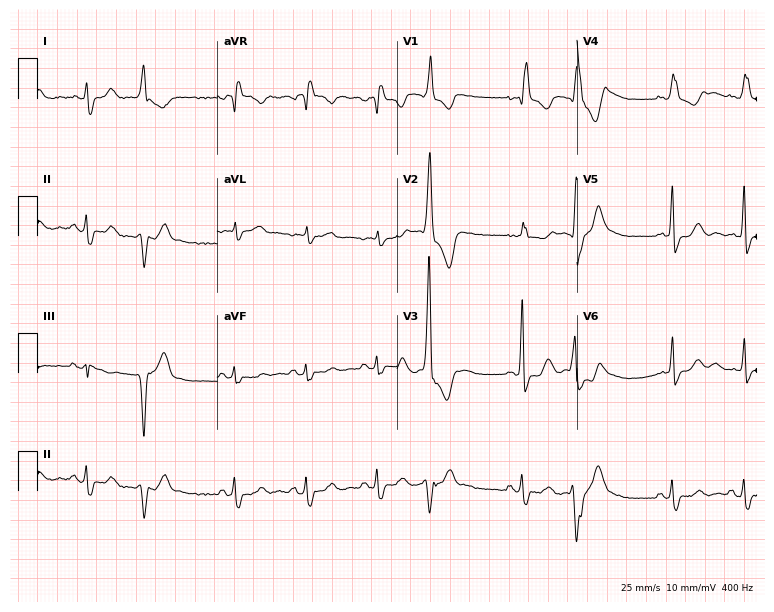
Resting 12-lead electrocardiogram. Patient: a 66-year-old female. The tracing shows right bundle branch block (RBBB).